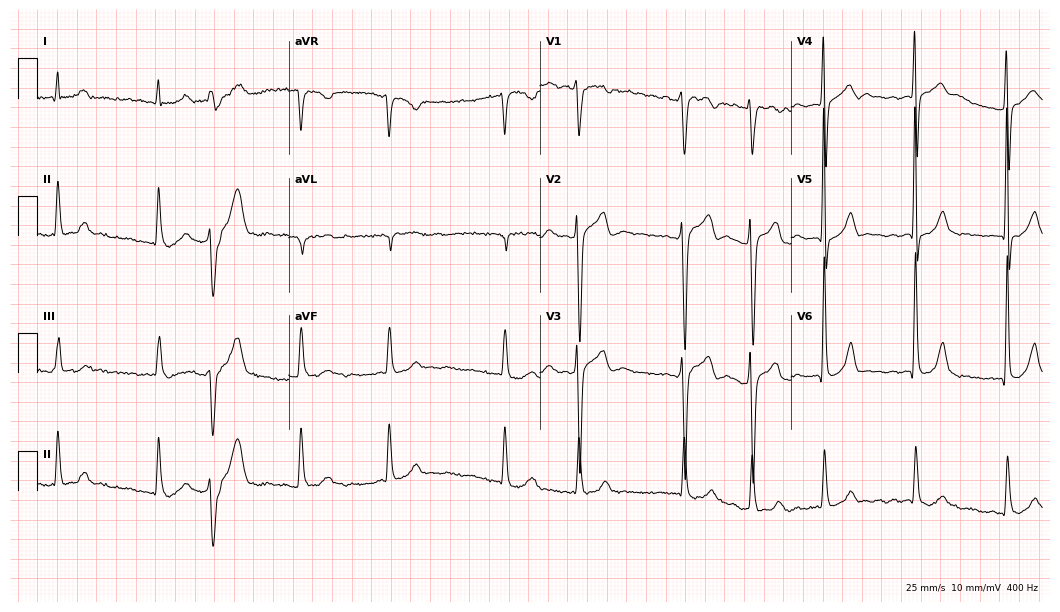
Electrocardiogram (10.2-second recording at 400 Hz), a 72-year-old male. Interpretation includes atrial fibrillation (AF).